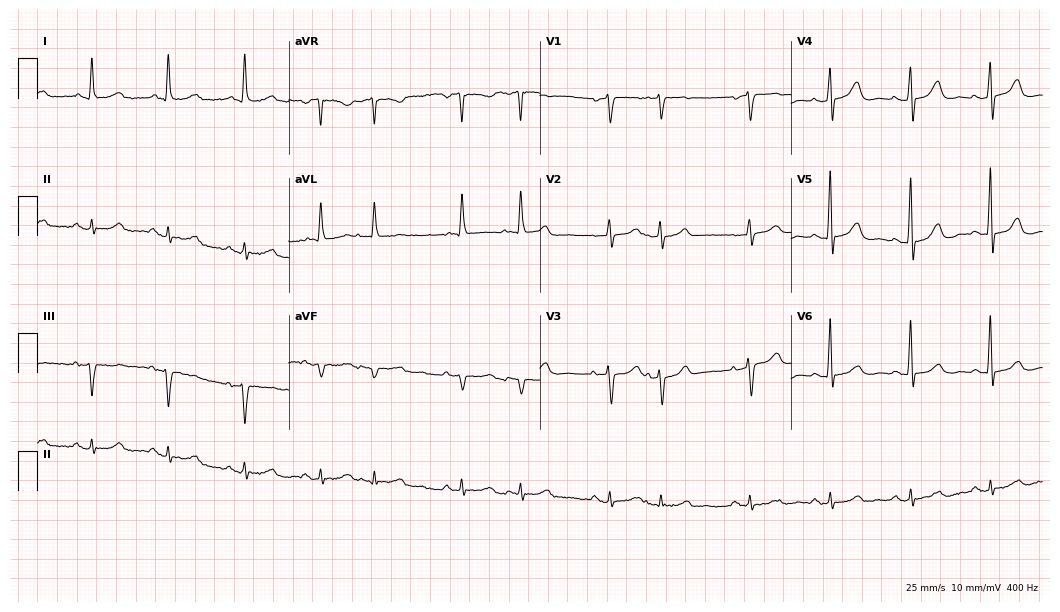
Electrocardiogram, a female, 83 years old. Of the six screened findings (first-degree AV block, right bundle branch block, left bundle branch block, sinus bradycardia, atrial fibrillation, sinus tachycardia), none is recorded. Findings outside these six are not listed.